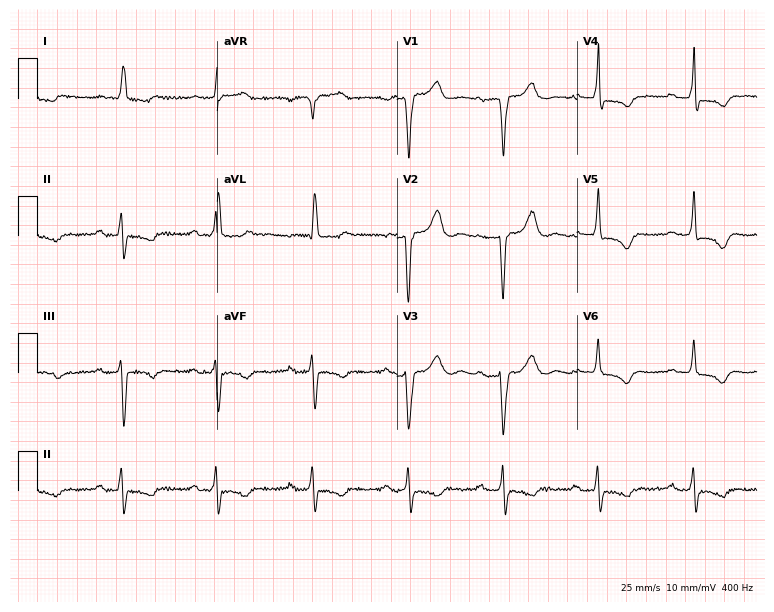
12-lead ECG (7.3-second recording at 400 Hz) from a 79-year-old woman. Findings include first-degree AV block.